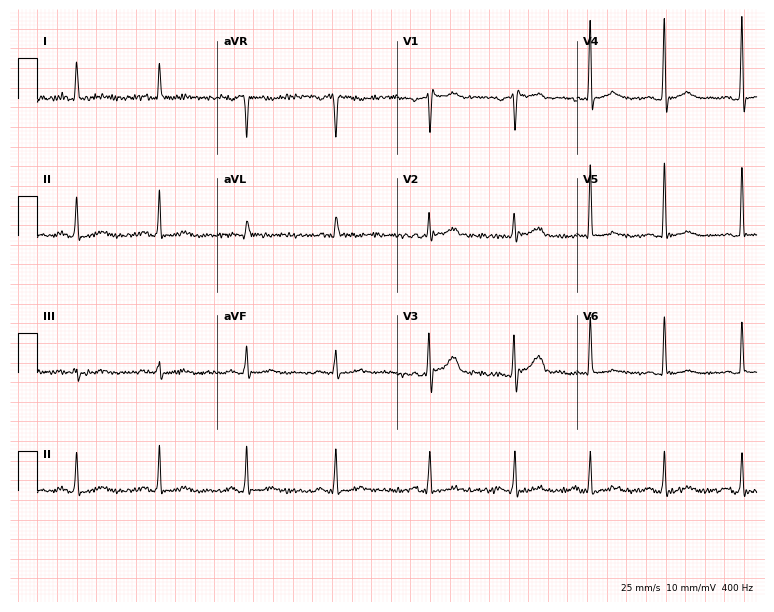
Standard 12-lead ECG recorded from a 54-year-old male patient (7.3-second recording at 400 Hz). Read as a normal ECG.